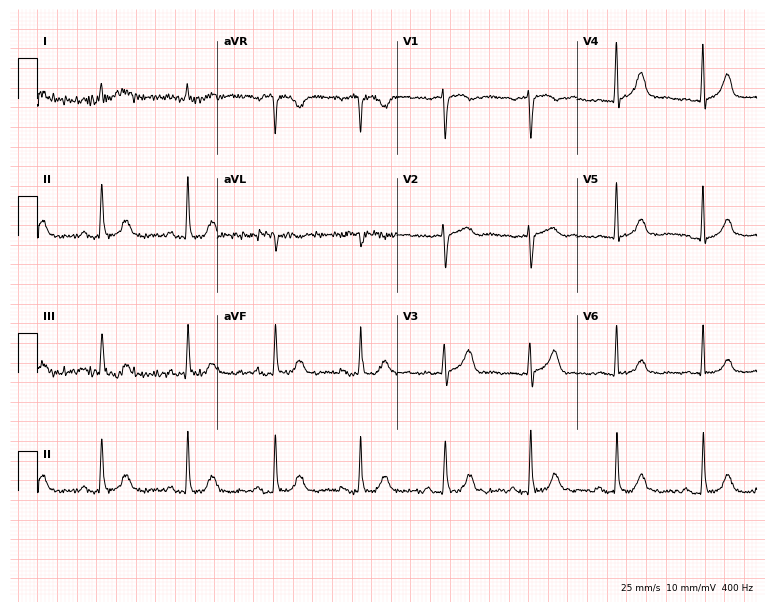
Resting 12-lead electrocardiogram (7.3-second recording at 400 Hz). Patient: a male, 72 years old. Read as a normal ECG.